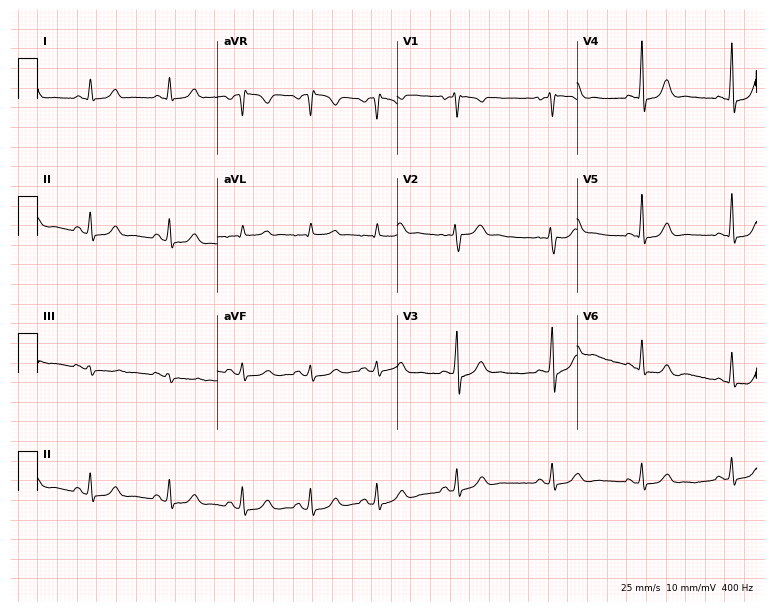
Resting 12-lead electrocardiogram (7.3-second recording at 400 Hz). Patient: a 42-year-old woman. None of these six findings is recorded: first-degree AV block, right bundle branch block (RBBB), left bundle branch block (LBBB), sinus bradycardia, atrial fibrillation (AF), sinus tachycardia. Only these six findings were labelled.